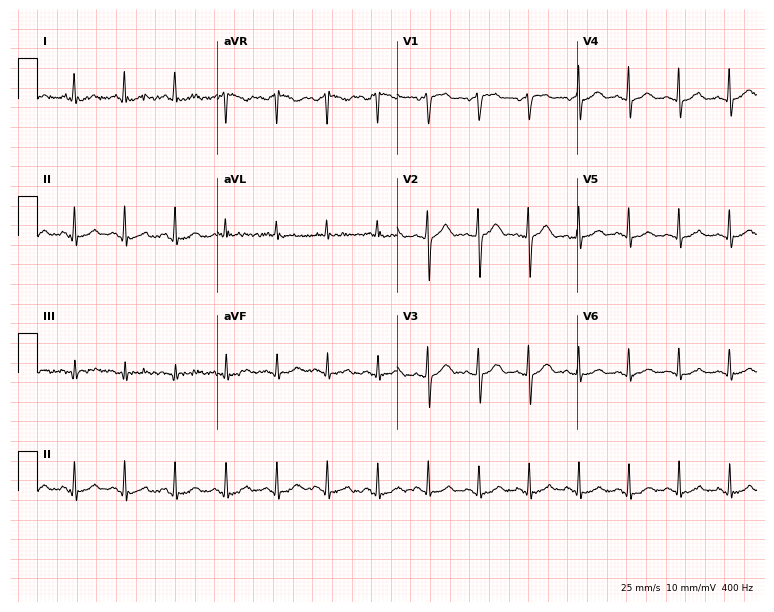
12-lead ECG from a 51-year-old male. Shows sinus tachycardia (a sinus rate of 100 beats per minute or more).